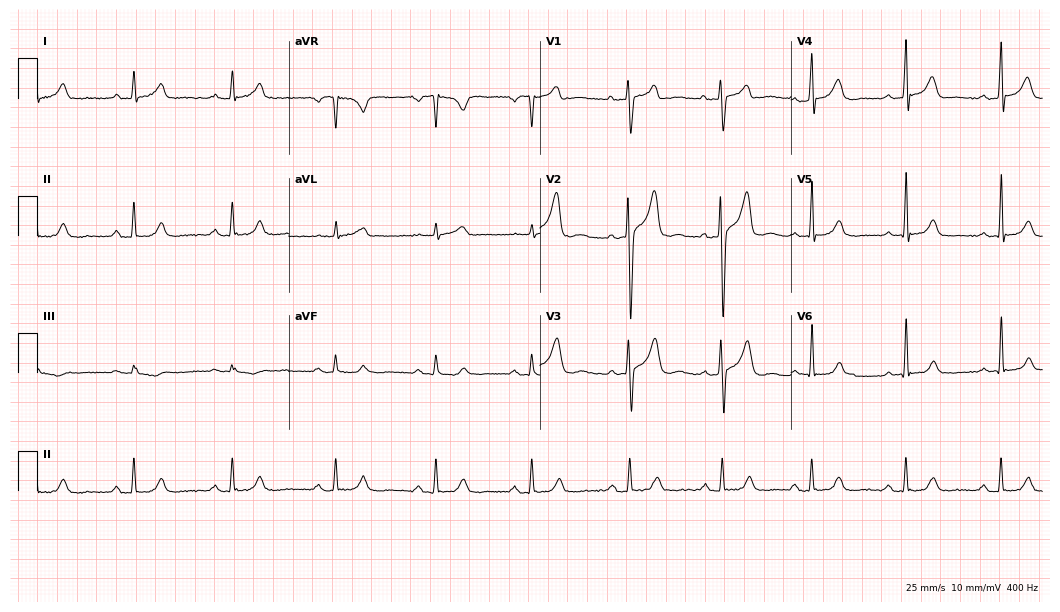
ECG — a 35-year-old man. Labelled as a normal ECG.